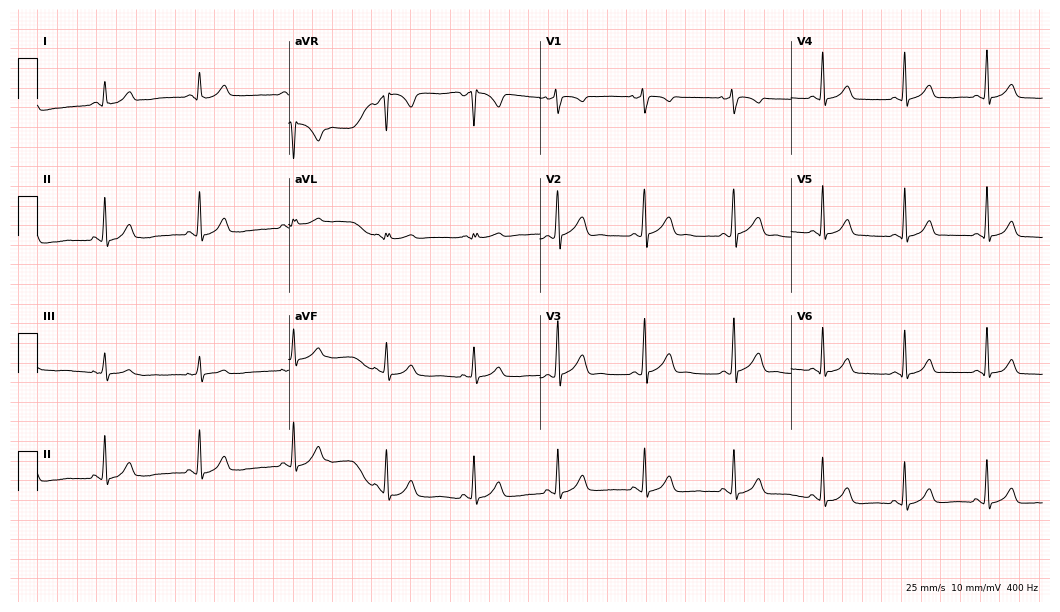
12-lead ECG from an 18-year-old woman (10.2-second recording at 400 Hz). Recorded interpretation: within normal limits.